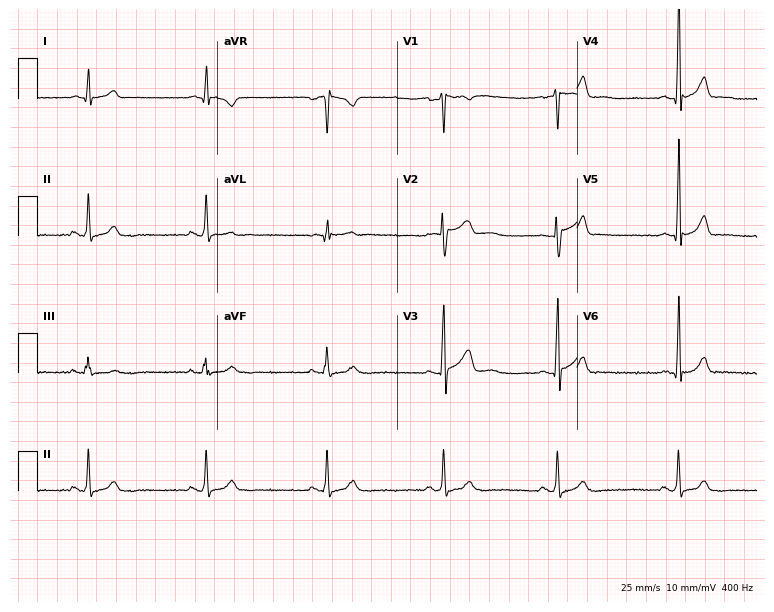
Electrocardiogram (7.3-second recording at 400 Hz), a 41-year-old male patient. Interpretation includes sinus bradycardia (a sinus rate of 50 beats per minute or less).